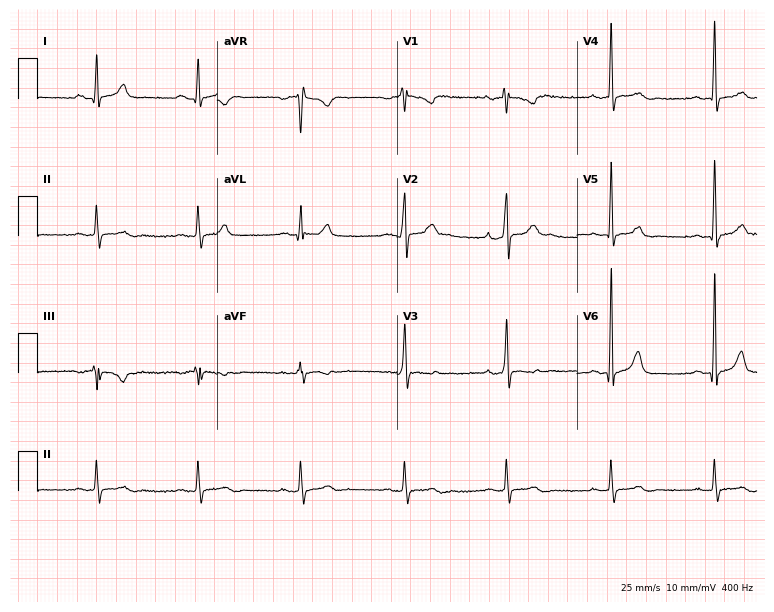
Standard 12-lead ECG recorded from a 36-year-old male patient. Read as a normal ECG.